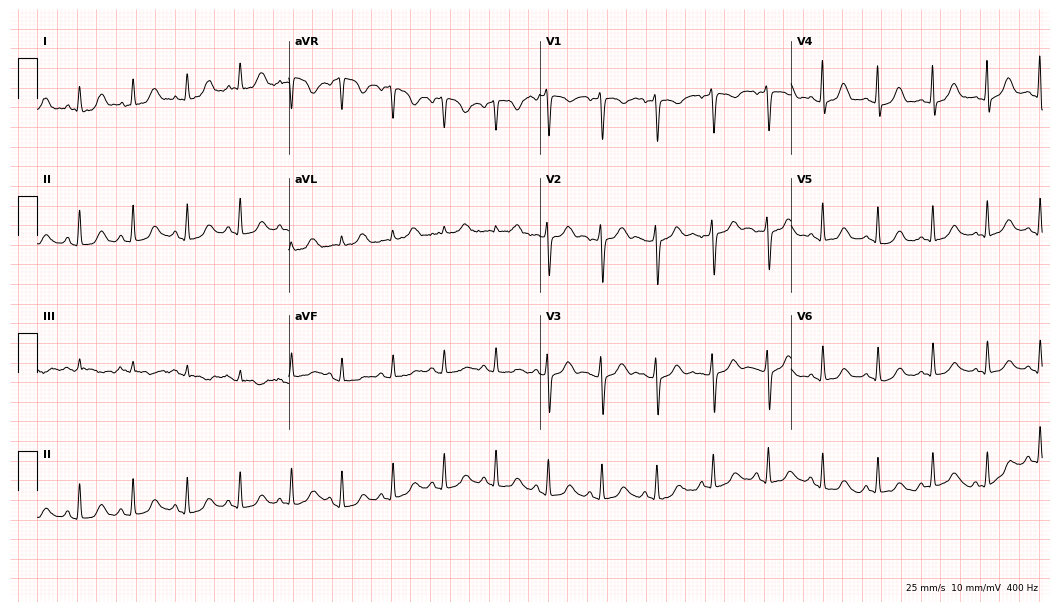
Resting 12-lead electrocardiogram (10.2-second recording at 400 Hz). Patient: a female, 30 years old. None of these six findings is recorded: first-degree AV block, right bundle branch block, left bundle branch block, sinus bradycardia, atrial fibrillation, sinus tachycardia.